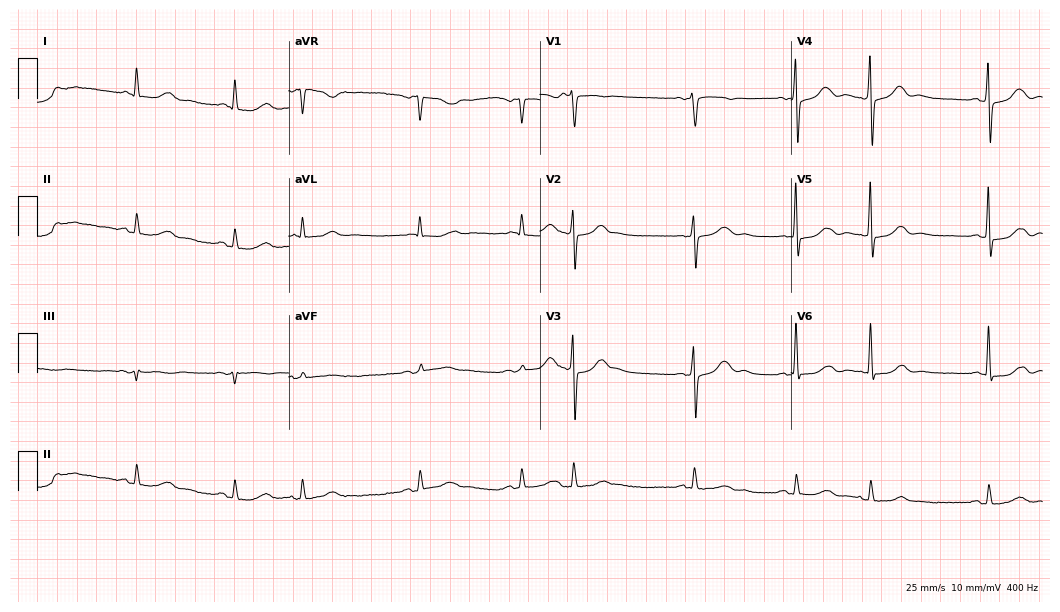
ECG — a 64-year-old female. Screened for six findings — first-degree AV block, right bundle branch block, left bundle branch block, sinus bradycardia, atrial fibrillation, sinus tachycardia — none is recorded. Findings outside these six are not listed.